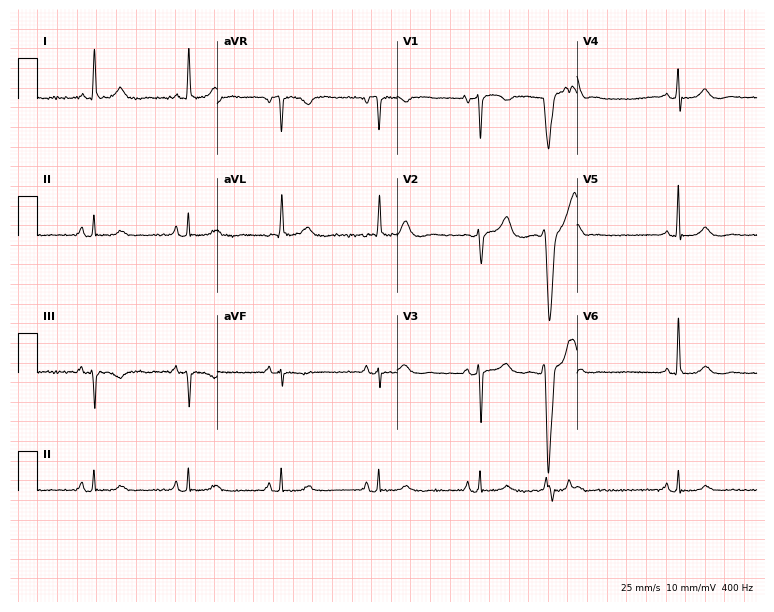
Resting 12-lead electrocardiogram. Patient: an 84-year-old woman. None of these six findings is recorded: first-degree AV block, right bundle branch block, left bundle branch block, sinus bradycardia, atrial fibrillation, sinus tachycardia. Findings outside these six are not listed.